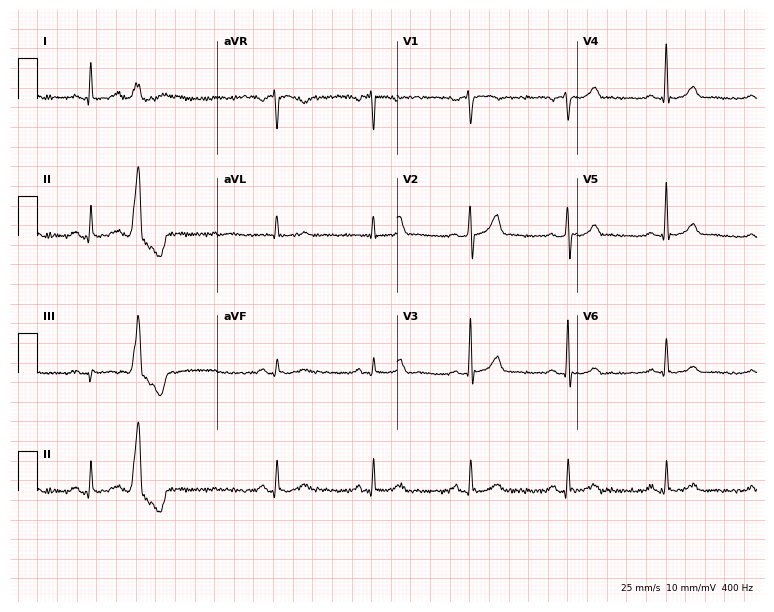
ECG (7.3-second recording at 400 Hz) — a male patient, 61 years old. Labelled as a normal ECG.